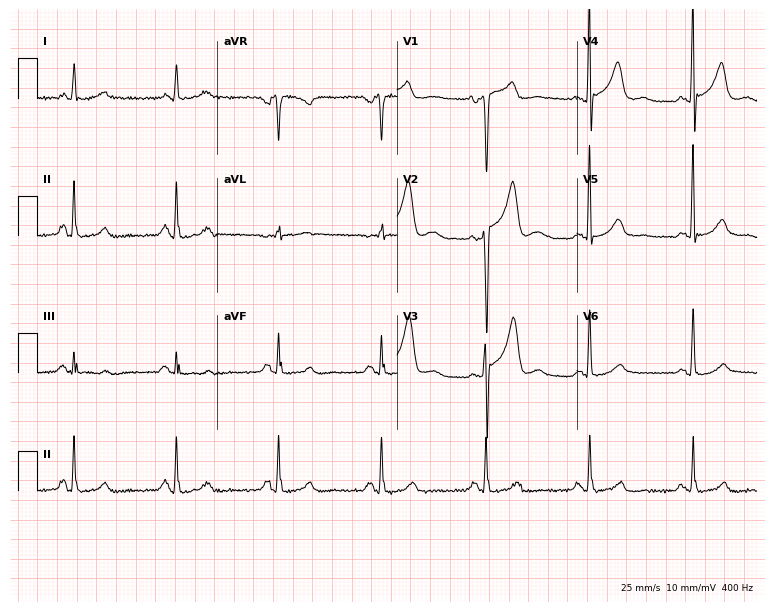
Electrocardiogram, a male patient, 68 years old. Overall reading on record: normal ECG.